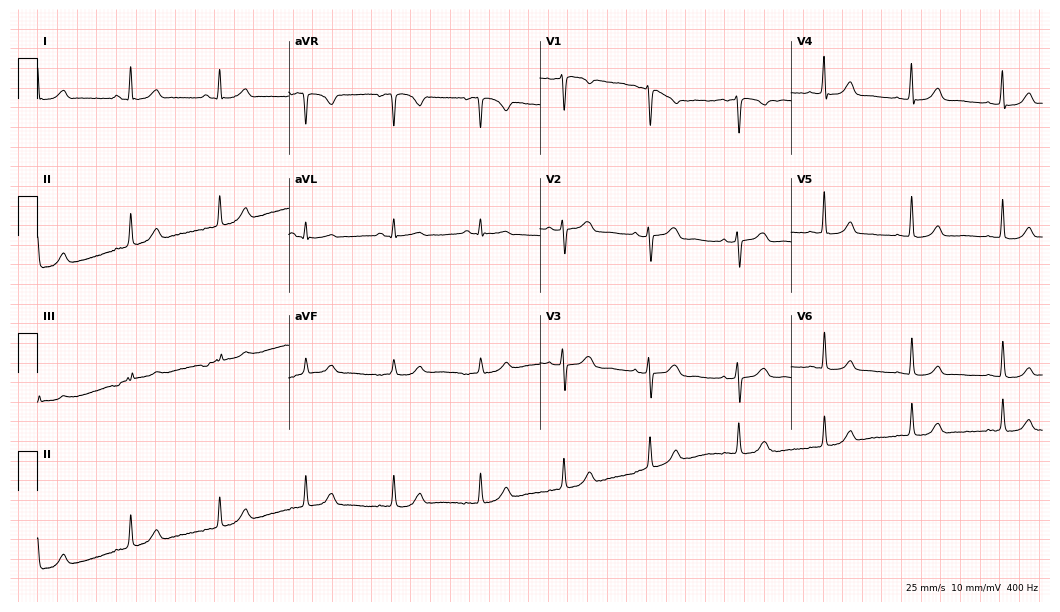
Standard 12-lead ECG recorded from a woman, 37 years old (10.2-second recording at 400 Hz). Read as a normal ECG.